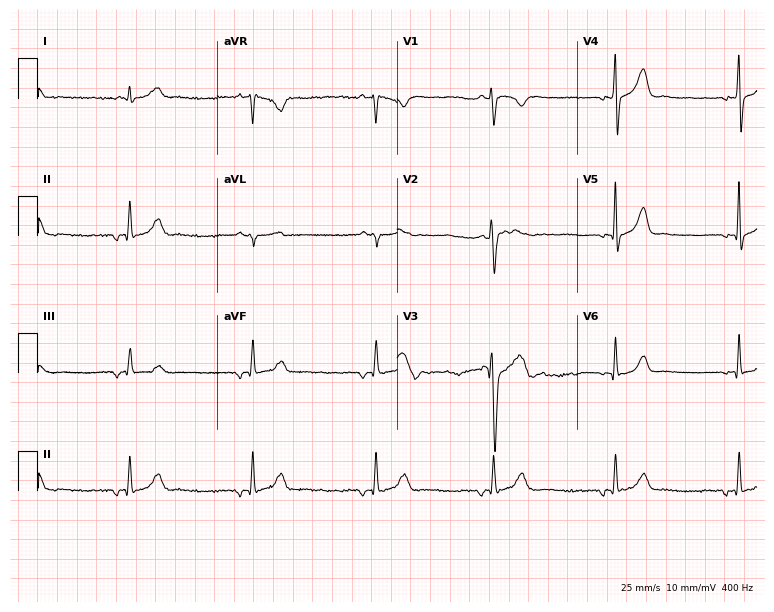
Resting 12-lead electrocardiogram (7.3-second recording at 400 Hz). Patient: a 40-year-old man. The tracing shows sinus bradycardia (a sinus rate of 50 beats per minute or less).